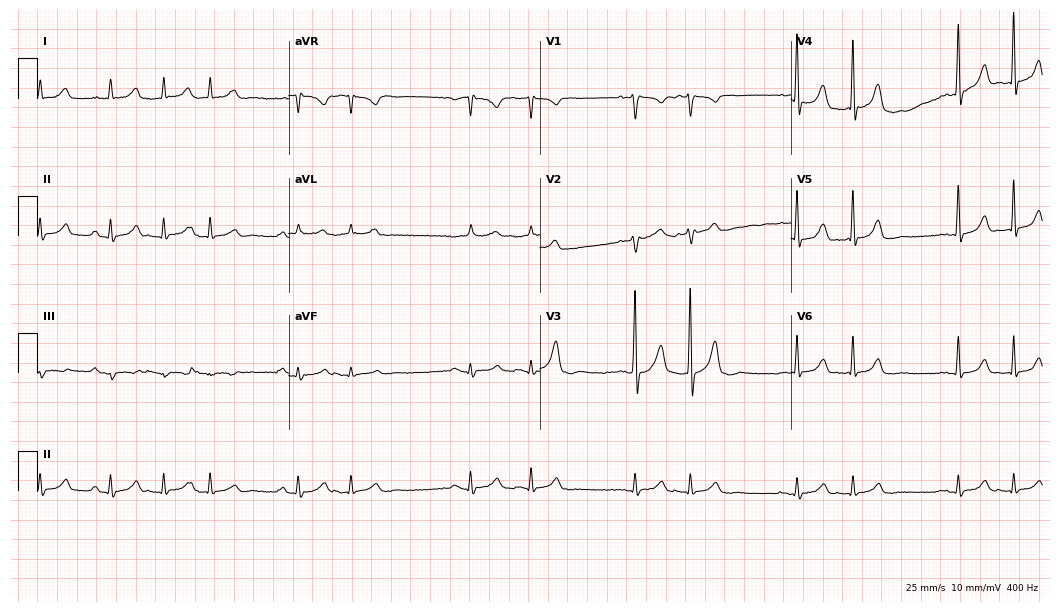
12-lead ECG (10.2-second recording at 400 Hz) from a 76-year-old woman. Screened for six findings — first-degree AV block, right bundle branch block, left bundle branch block, sinus bradycardia, atrial fibrillation, sinus tachycardia — none is recorded. Findings outside these six are not listed.